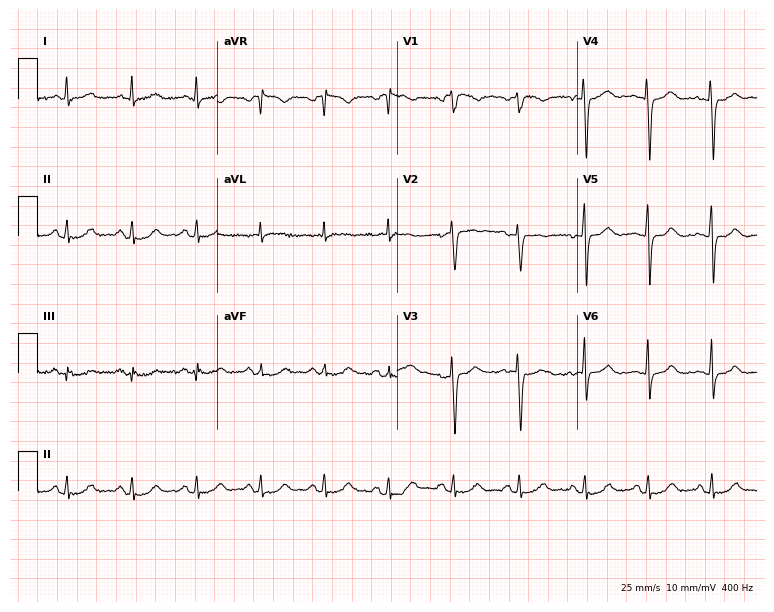
ECG — a 33-year-old female. Screened for six findings — first-degree AV block, right bundle branch block (RBBB), left bundle branch block (LBBB), sinus bradycardia, atrial fibrillation (AF), sinus tachycardia — none is recorded.